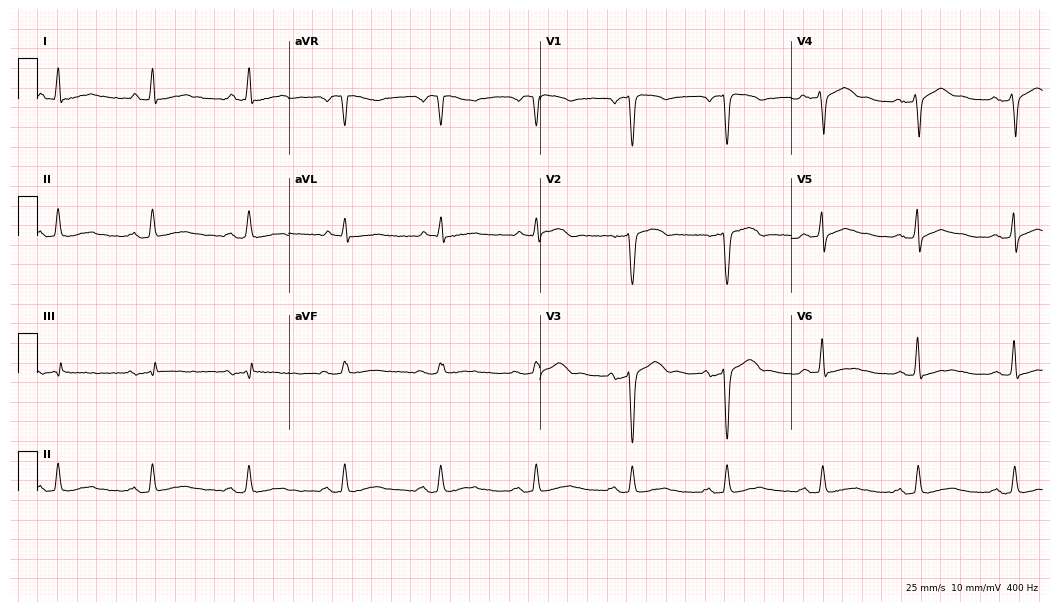
Standard 12-lead ECG recorded from a male, 78 years old. None of these six findings is recorded: first-degree AV block, right bundle branch block (RBBB), left bundle branch block (LBBB), sinus bradycardia, atrial fibrillation (AF), sinus tachycardia.